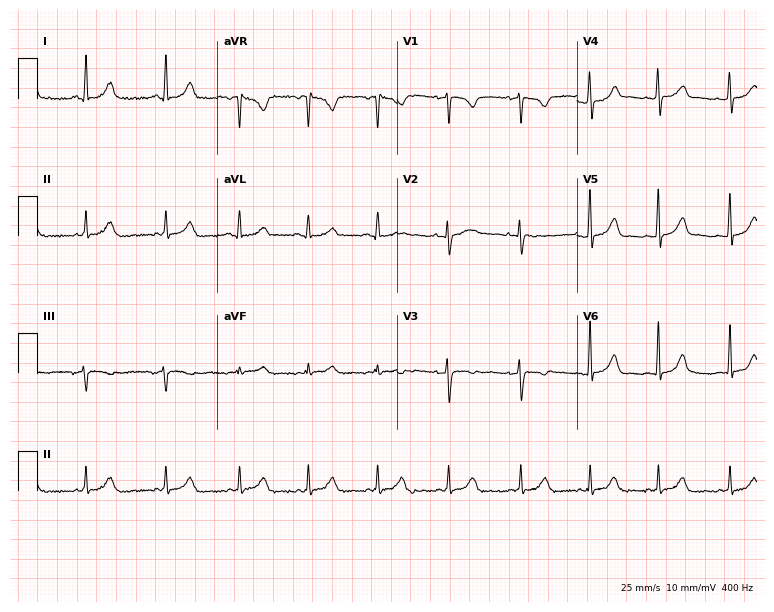
Standard 12-lead ECG recorded from a female, 21 years old. Read as a normal ECG.